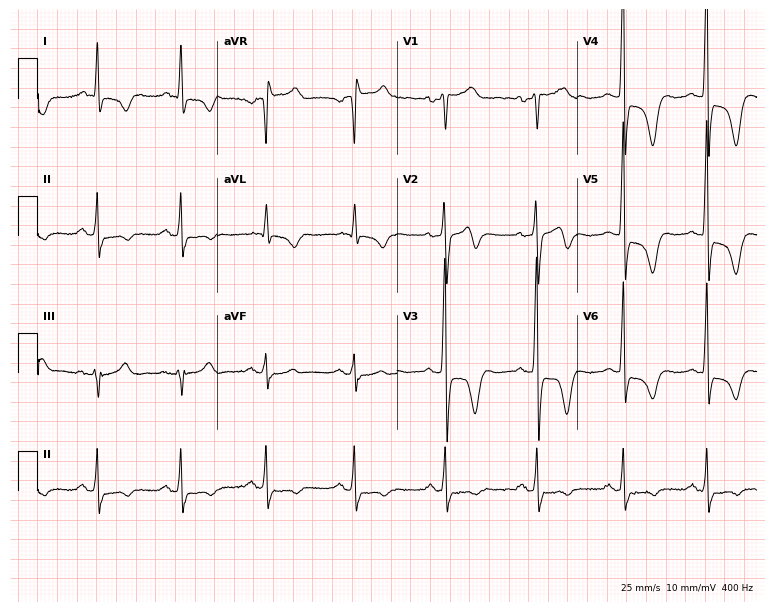
Standard 12-lead ECG recorded from a 55-year-old man (7.3-second recording at 400 Hz). None of these six findings is recorded: first-degree AV block, right bundle branch block, left bundle branch block, sinus bradycardia, atrial fibrillation, sinus tachycardia.